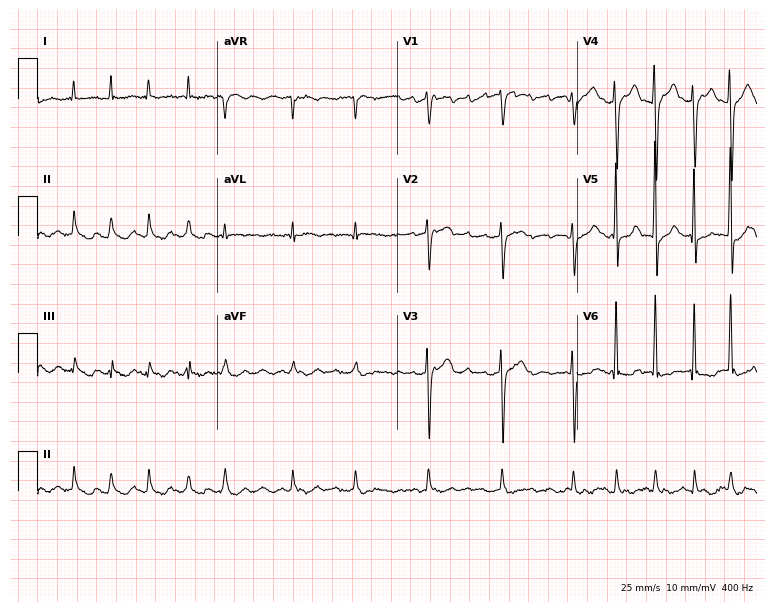
Standard 12-lead ECG recorded from a female, 82 years old. The tracing shows atrial fibrillation.